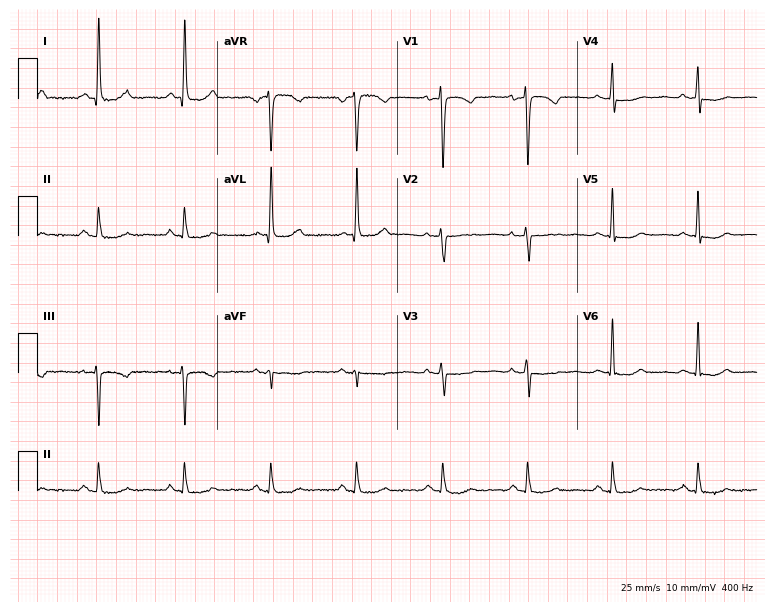
Standard 12-lead ECG recorded from a woman, 58 years old (7.3-second recording at 400 Hz). None of these six findings is recorded: first-degree AV block, right bundle branch block (RBBB), left bundle branch block (LBBB), sinus bradycardia, atrial fibrillation (AF), sinus tachycardia.